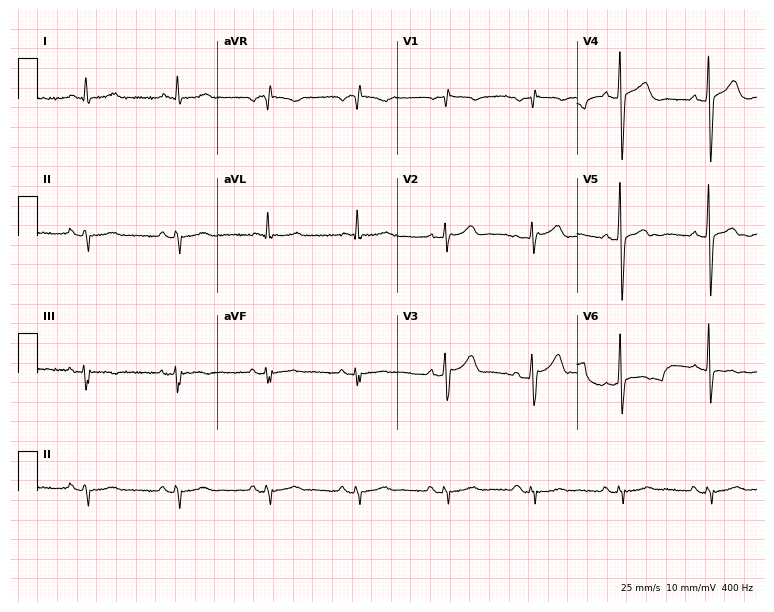
Standard 12-lead ECG recorded from a 70-year-old man. None of these six findings is recorded: first-degree AV block, right bundle branch block, left bundle branch block, sinus bradycardia, atrial fibrillation, sinus tachycardia.